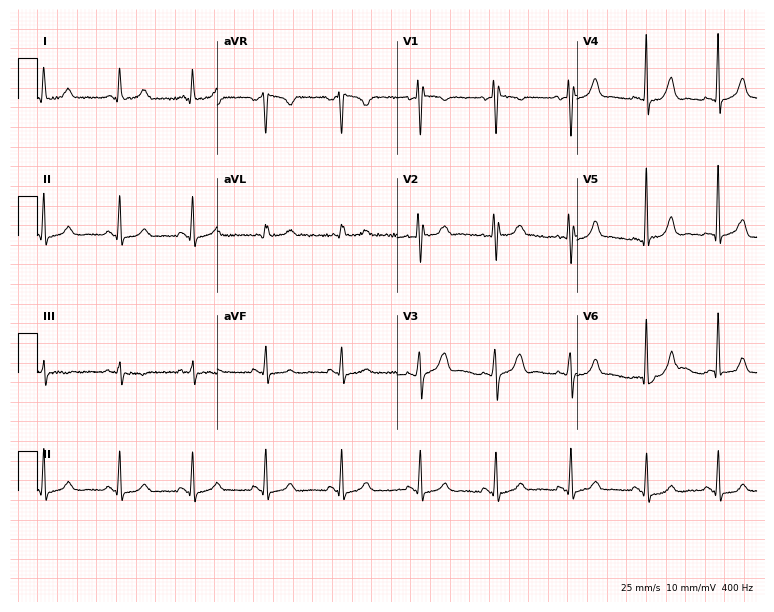
12-lead ECG from a female, 39 years old. Screened for six findings — first-degree AV block, right bundle branch block (RBBB), left bundle branch block (LBBB), sinus bradycardia, atrial fibrillation (AF), sinus tachycardia — none is recorded. Other findings, if any, are not listed.